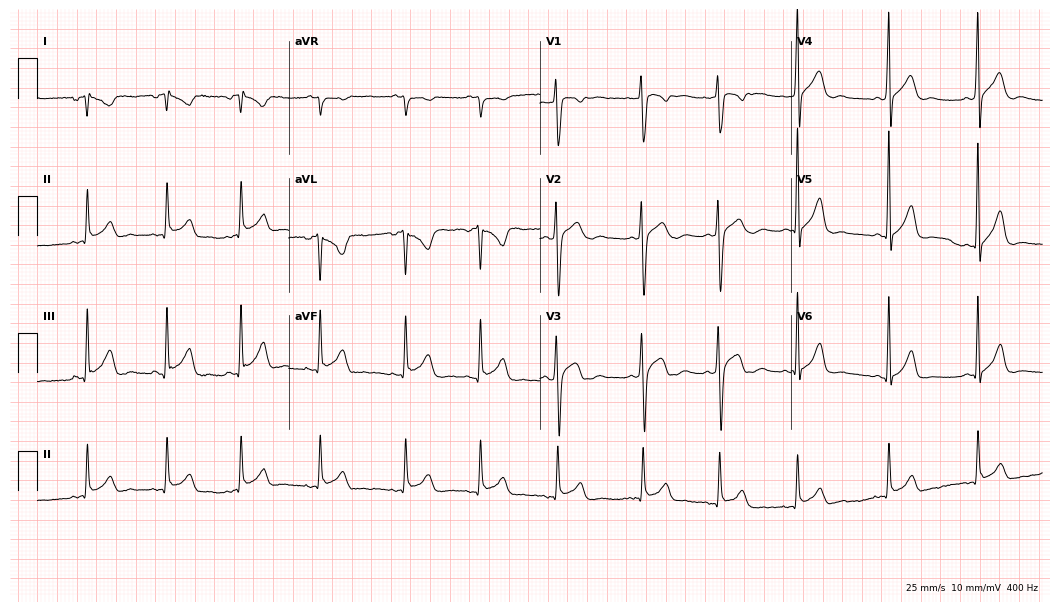
12-lead ECG from a male patient, 17 years old. Labelled as a normal ECG.